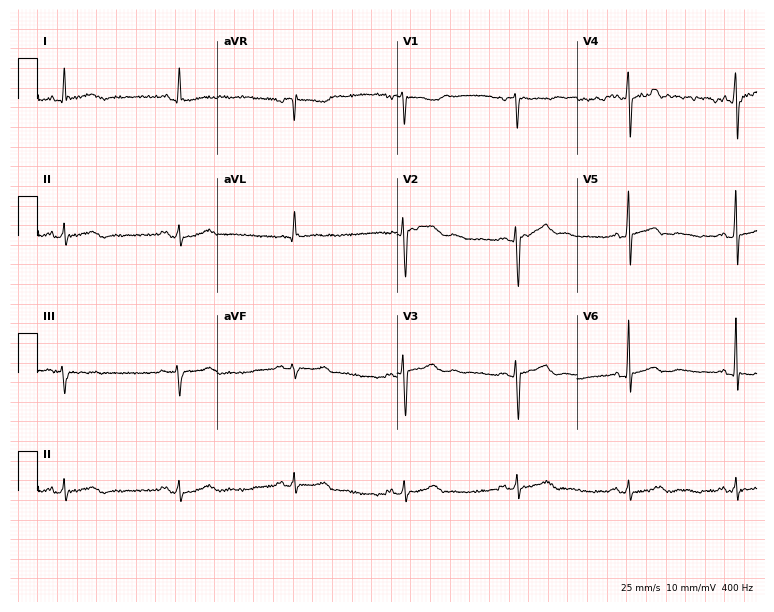
Resting 12-lead electrocardiogram (7.3-second recording at 400 Hz). Patient: a 49-year-old male. None of these six findings is recorded: first-degree AV block, right bundle branch block, left bundle branch block, sinus bradycardia, atrial fibrillation, sinus tachycardia.